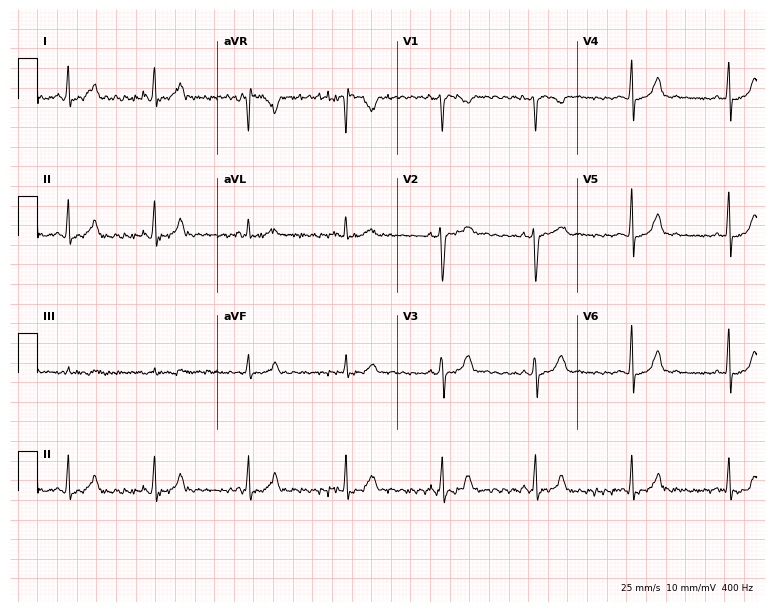
12-lead ECG from a 26-year-old female patient. Screened for six findings — first-degree AV block, right bundle branch block, left bundle branch block, sinus bradycardia, atrial fibrillation, sinus tachycardia — none is recorded. Findings outside these six are not listed.